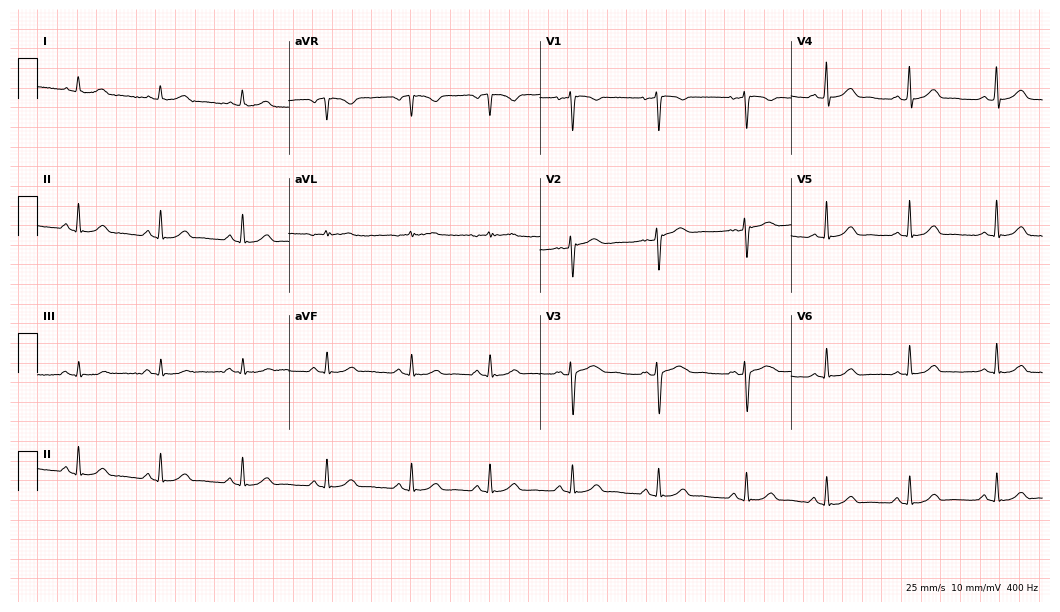
12-lead ECG from a 43-year-old female. Labelled as a normal ECG.